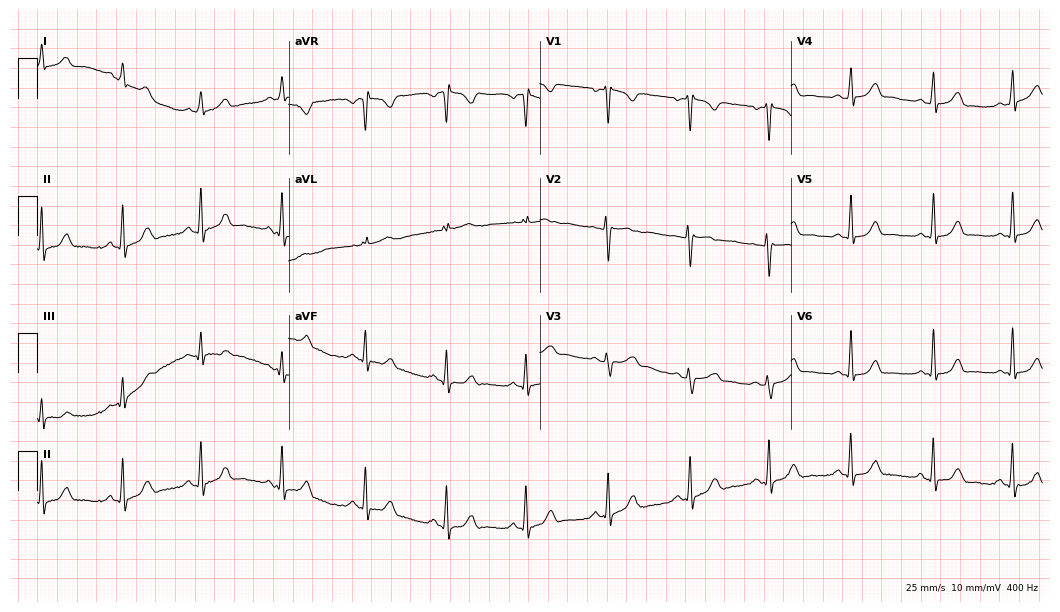
Standard 12-lead ECG recorded from a 21-year-old female patient (10.2-second recording at 400 Hz). Read as a normal ECG.